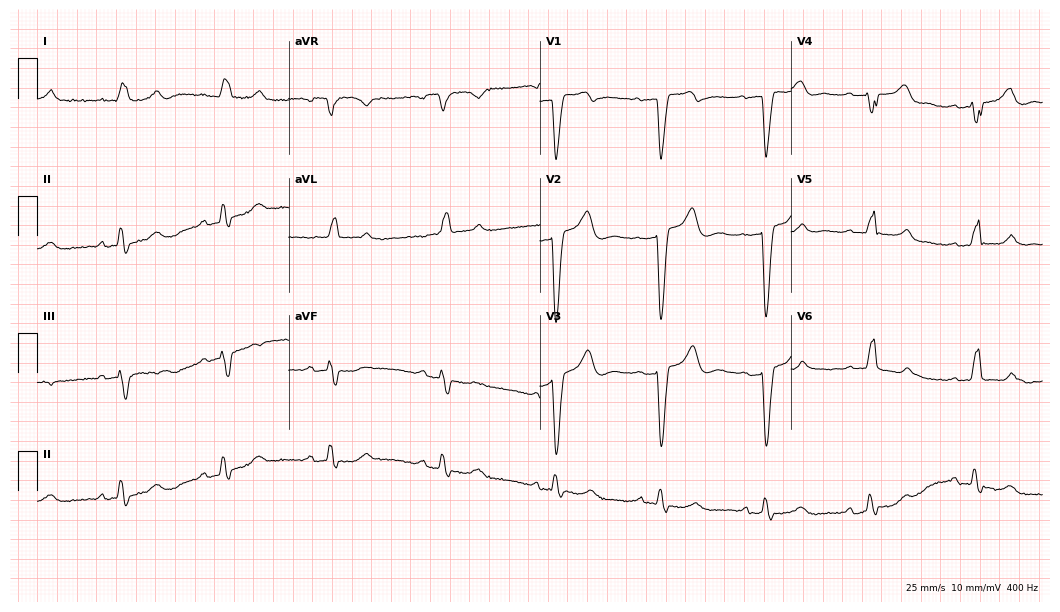
ECG (10.2-second recording at 400 Hz) — a 62-year-old woman. Findings include first-degree AV block, left bundle branch block (LBBB).